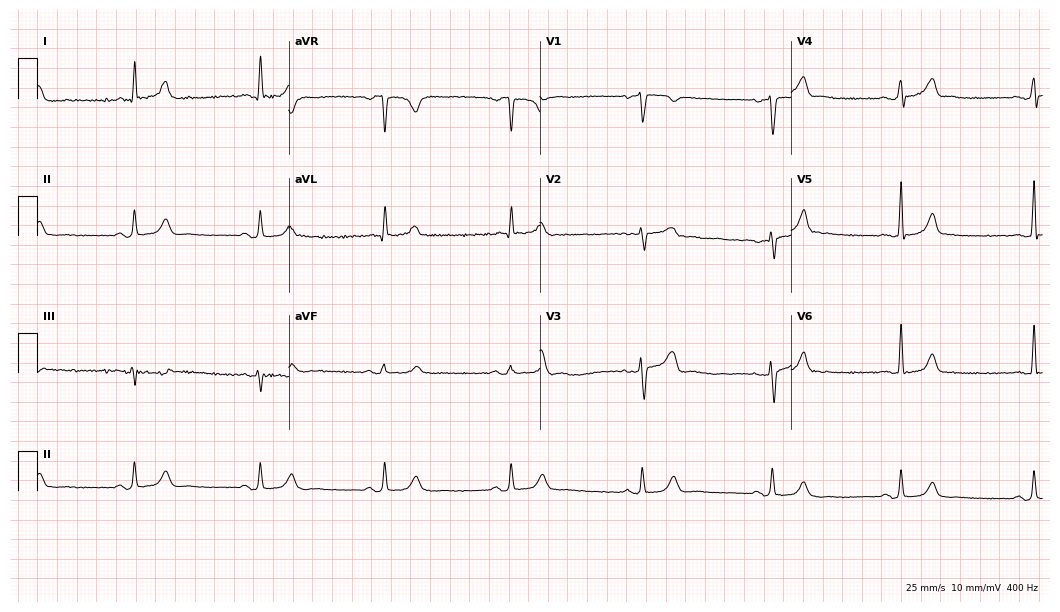
Resting 12-lead electrocardiogram (10.2-second recording at 400 Hz). Patient: a 41-year-old woman. The tracing shows sinus bradycardia (a sinus rate of 50 beats per minute or less).